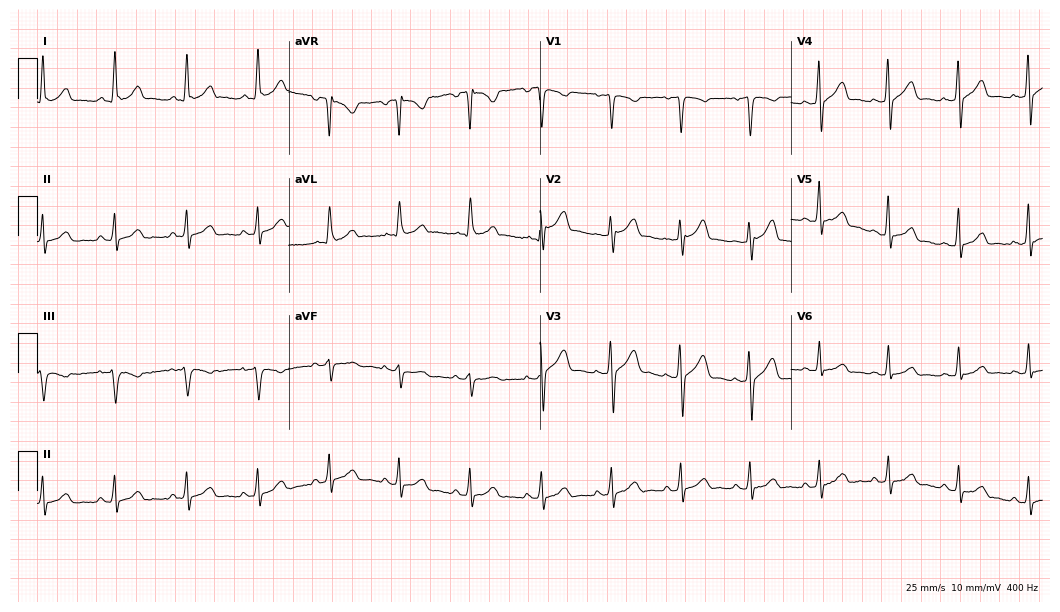
Standard 12-lead ECG recorded from a male patient, 30 years old (10.2-second recording at 400 Hz). Read as a normal ECG.